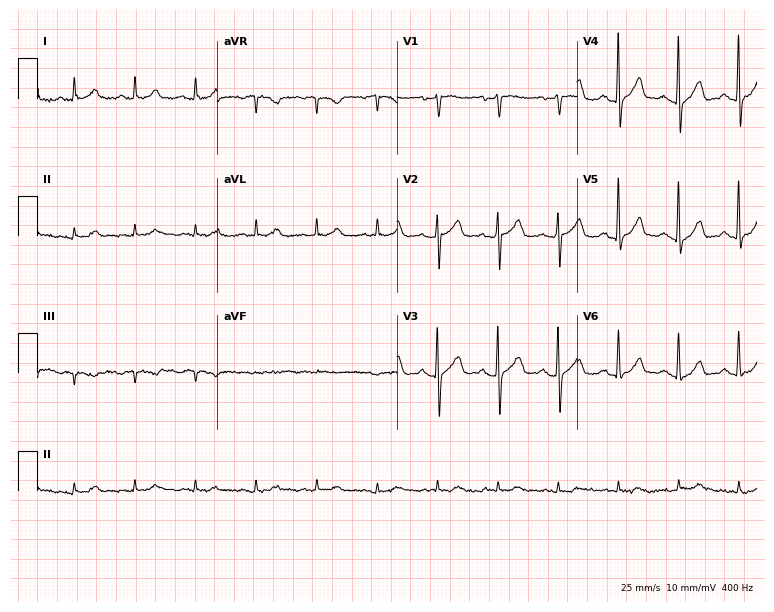
Resting 12-lead electrocardiogram. Patient: a 63-year-old man. Read as a normal ECG.